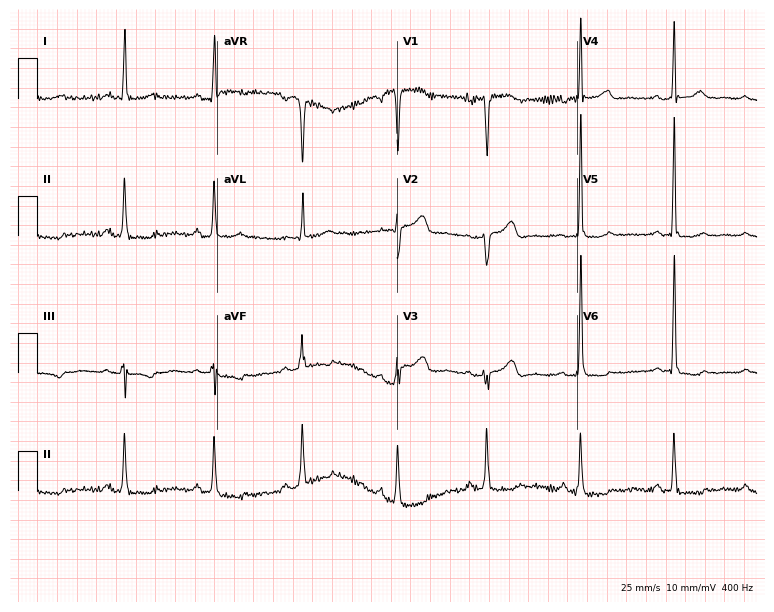
Resting 12-lead electrocardiogram. Patient: a 47-year-old female. None of these six findings is recorded: first-degree AV block, right bundle branch block, left bundle branch block, sinus bradycardia, atrial fibrillation, sinus tachycardia.